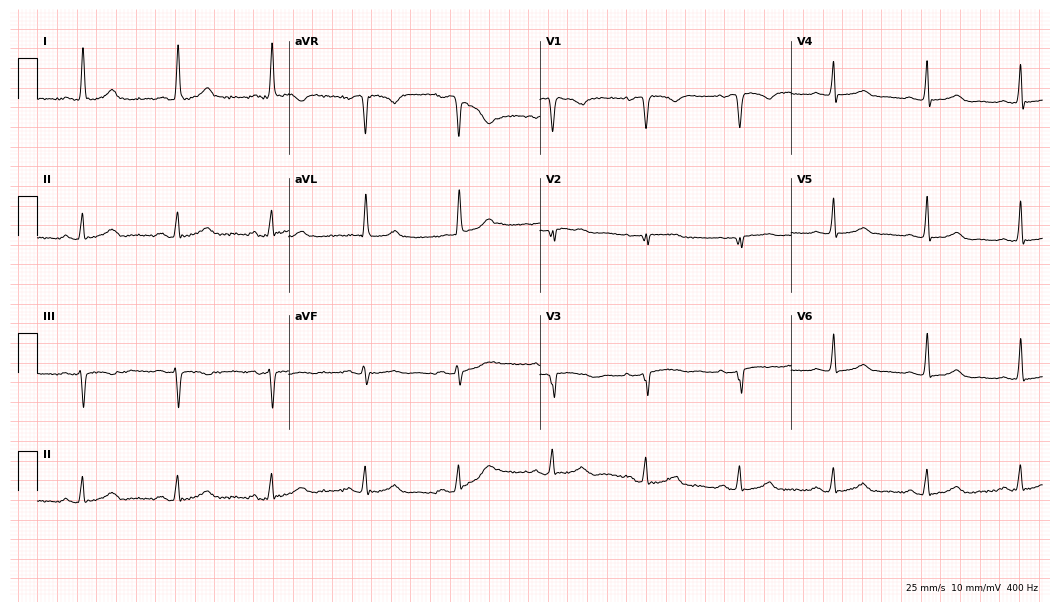
12-lead ECG from a 71-year-old woman (10.2-second recording at 400 Hz). No first-degree AV block, right bundle branch block (RBBB), left bundle branch block (LBBB), sinus bradycardia, atrial fibrillation (AF) or sinus tachycardia recorded for this tracing. Other findings, if any, are not listed.